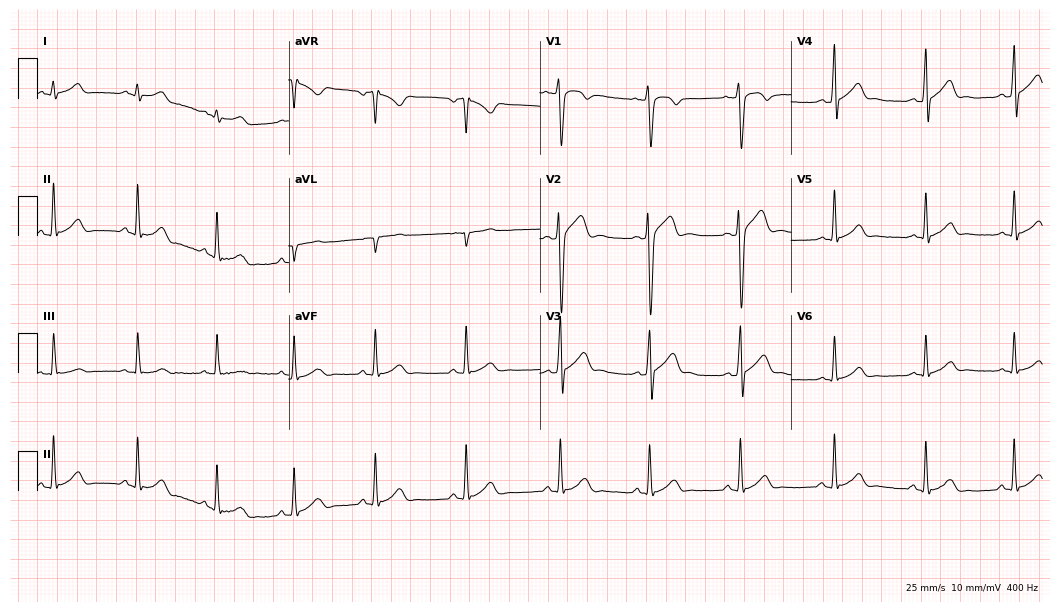
12-lead ECG from a male patient, 37 years old. Recorded interpretation: within normal limits.